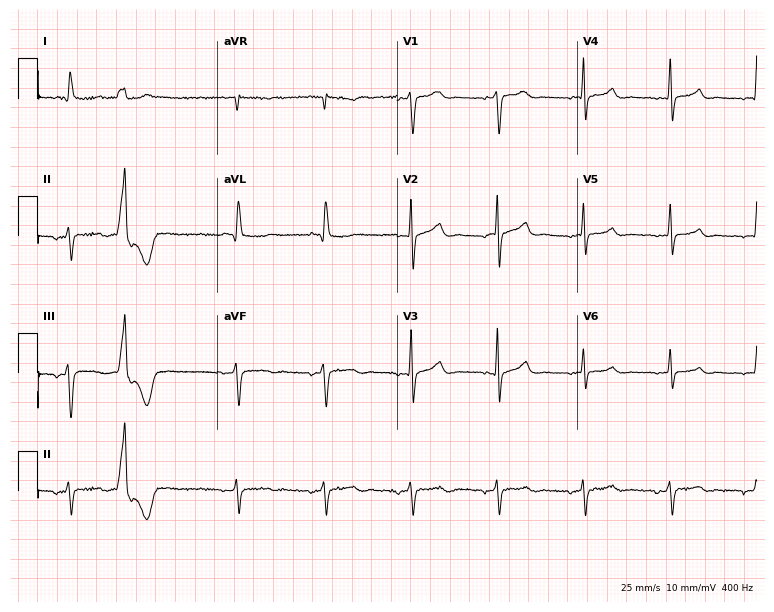
Standard 12-lead ECG recorded from an 81-year-old male patient. None of these six findings is recorded: first-degree AV block, right bundle branch block, left bundle branch block, sinus bradycardia, atrial fibrillation, sinus tachycardia.